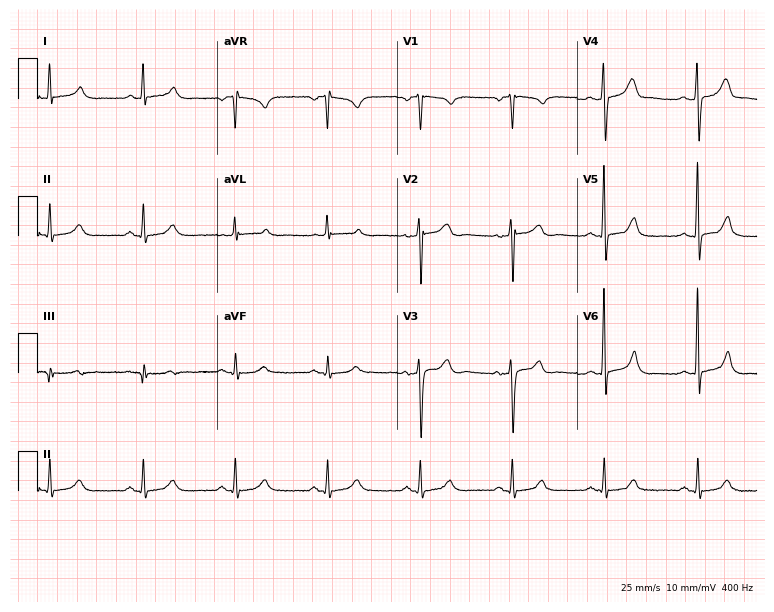
12-lead ECG from a male, 51 years old. Screened for six findings — first-degree AV block, right bundle branch block (RBBB), left bundle branch block (LBBB), sinus bradycardia, atrial fibrillation (AF), sinus tachycardia — none is recorded. Other findings, if any, are not listed.